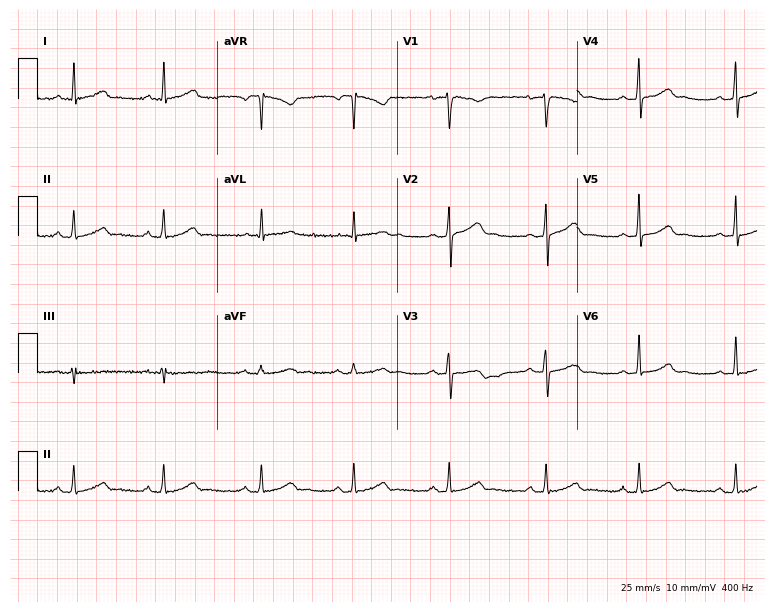
ECG (7.3-second recording at 400 Hz) — a 37-year-old female. Labelled as a normal ECG.